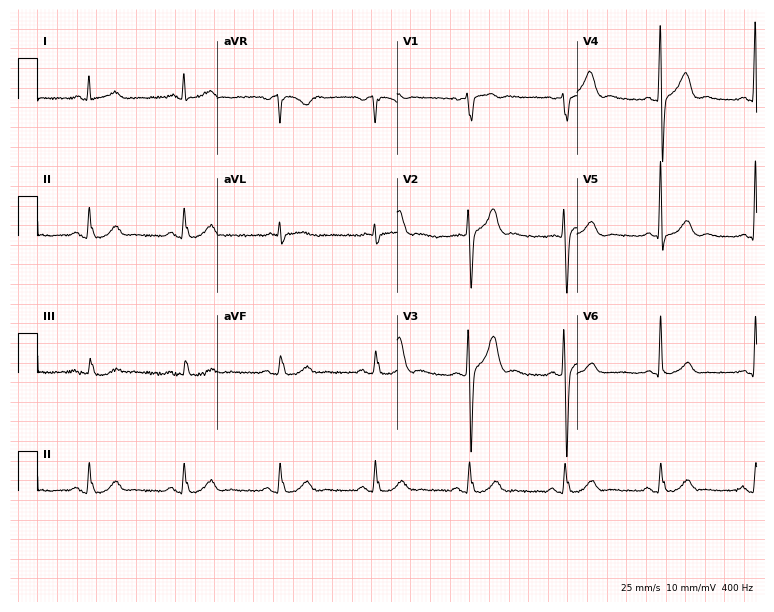
12-lead ECG (7.3-second recording at 400 Hz) from a male patient, 52 years old. Labelled as a normal ECG.